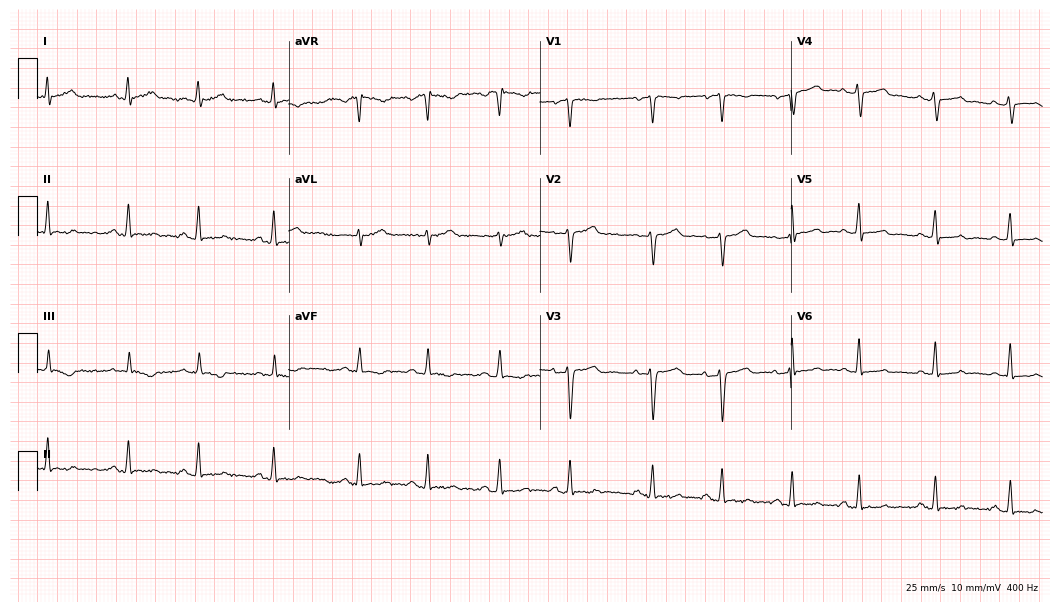
12-lead ECG from a 21-year-old female. Recorded interpretation: within normal limits.